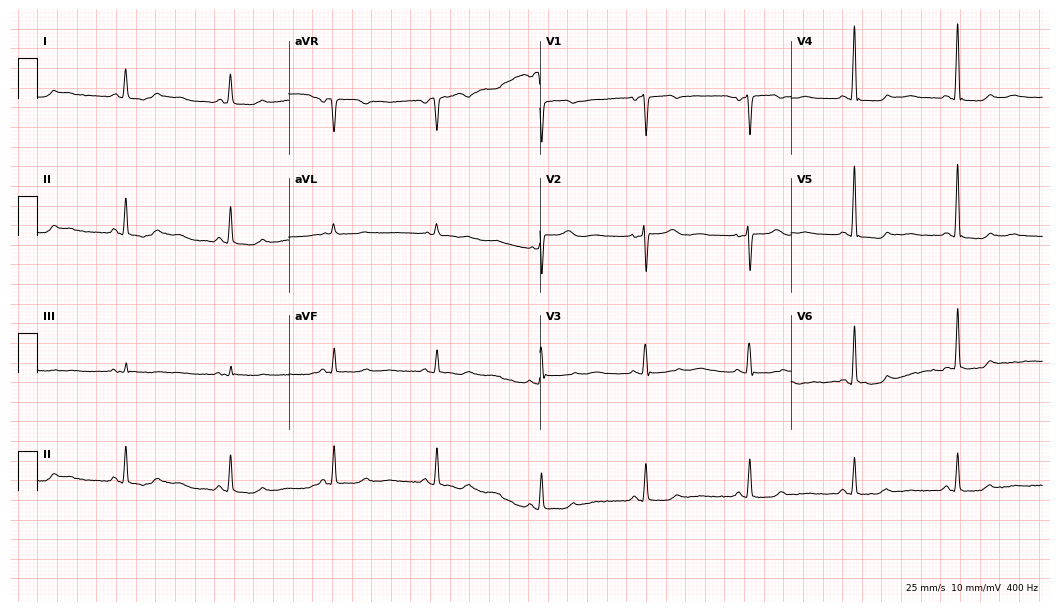
Resting 12-lead electrocardiogram (10.2-second recording at 400 Hz). Patient: a 57-year-old woman. Read as a normal ECG.